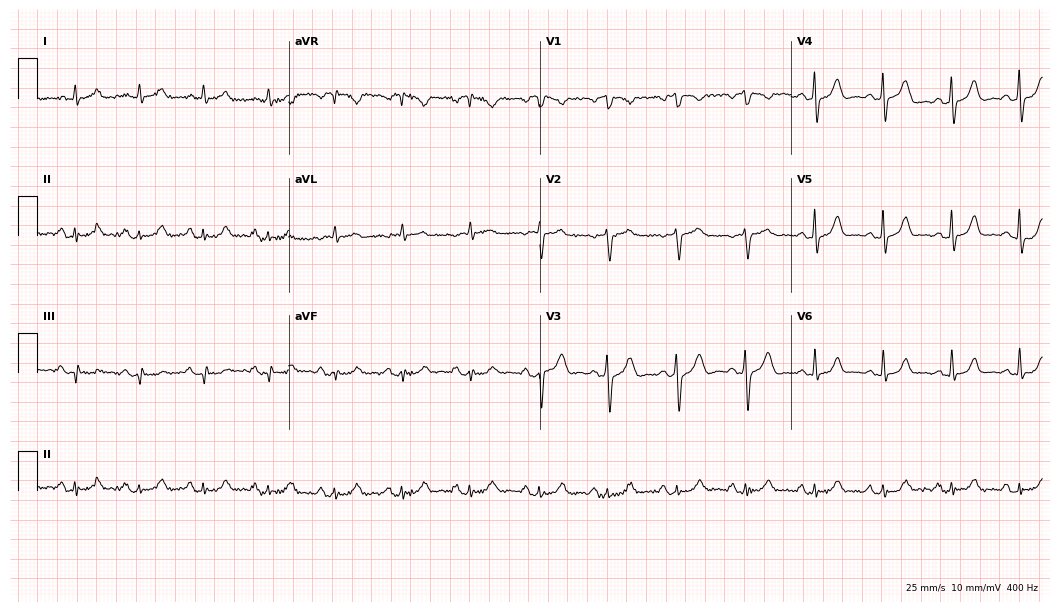
12-lead ECG from a 60-year-old male patient (10.2-second recording at 400 Hz). No first-degree AV block, right bundle branch block (RBBB), left bundle branch block (LBBB), sinus bradycardia, atrial fibrillation (AF) or sinus tachycardia recorded for this tracing.